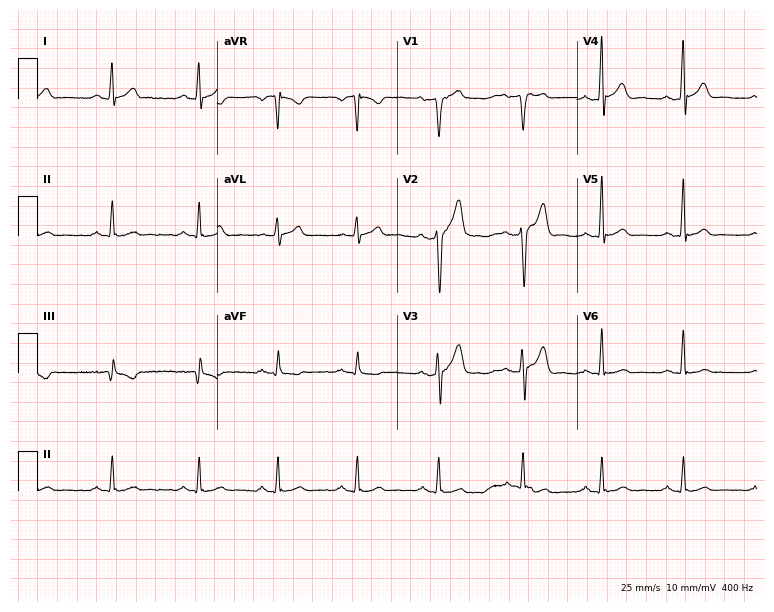
12-lead ECG (7.3-second recording at 400 Hz) from a 31-year-old female. Labelled as a normal ECG.